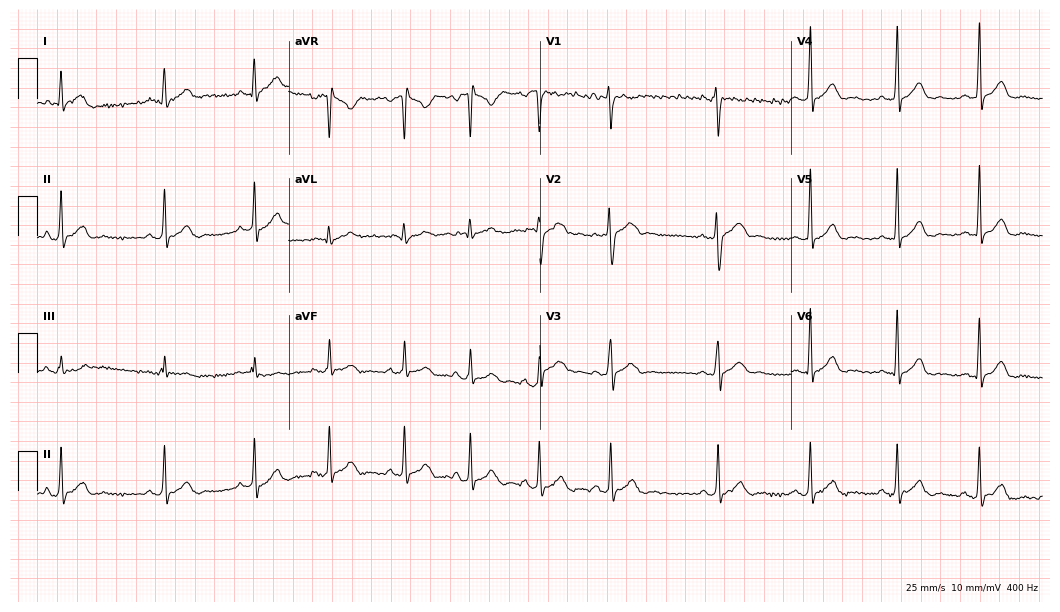
Electrocardiogram, a female, 21 years old. Of the six screened findings (first-degree AV block, right bundle branch block, left bundle branch block, sinus bradycardia, atrial fibrillation, sinus tachycardia), none is recorded.